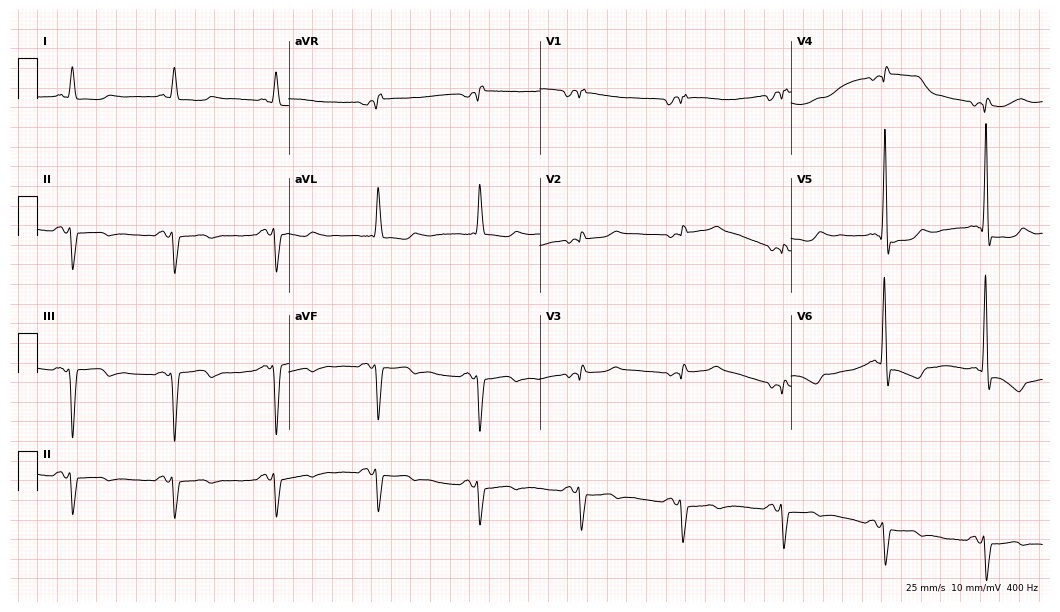
Electrocardiogram, a female, 83 years old. Of the six screened findings (first-degree AV block, right bundle branch block (RBBB), left bundle branch block (LBBB), sinus bradycardia, atrial fibrillation (AF), sinus tachycardia), none is recorded.